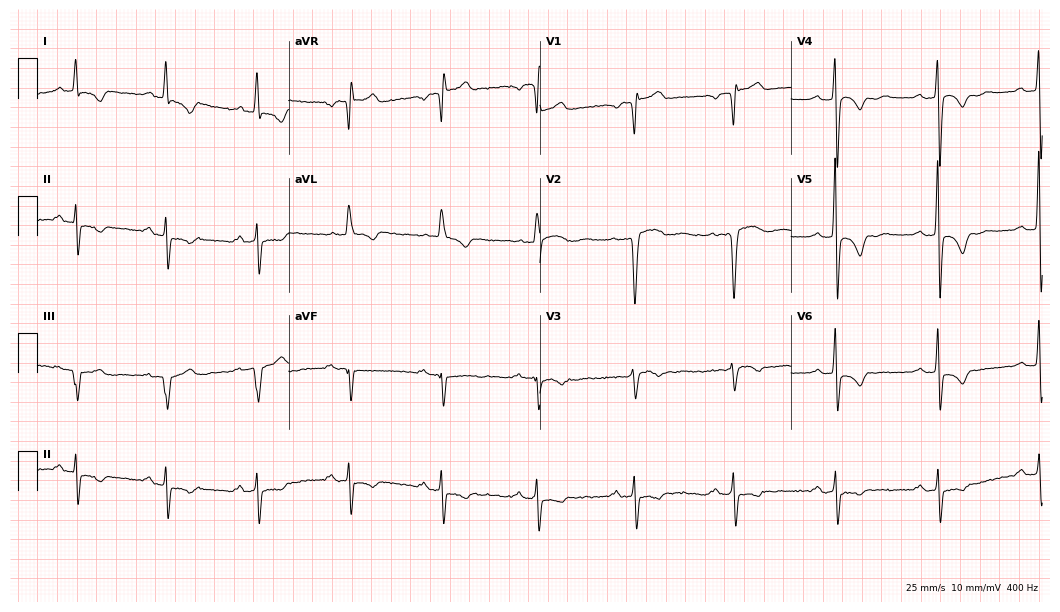
Standard 12-lead ECG recorded from a 68-year-old male. None of these six findings is recorded: first-degree AV block, right bundle branch block (RBBB), left bundle branch block (LBBB), sinus bradycardia, atrial fibrillation (AF), sinus tachycardia. Findings outside these six are not listed.